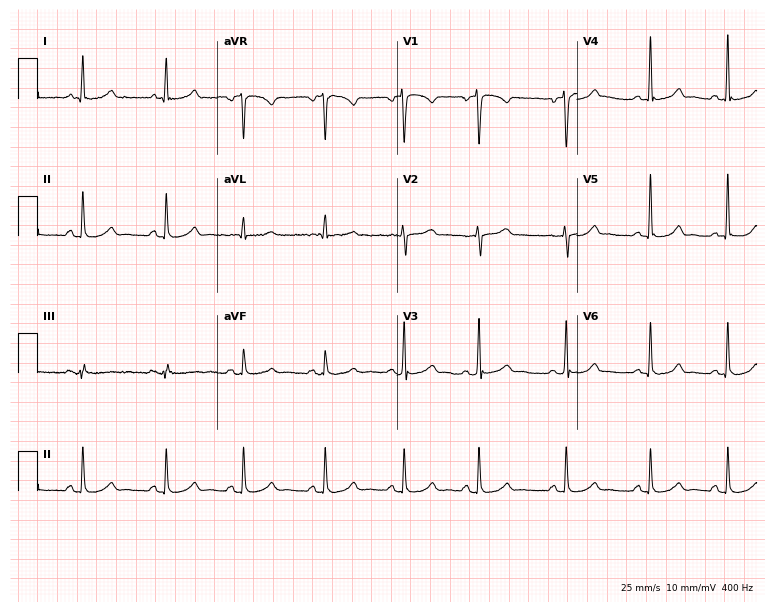
ECG (7.3-second recording at 400 Hz) — a 25-year-old female patient. Labelled as a normal ECG.